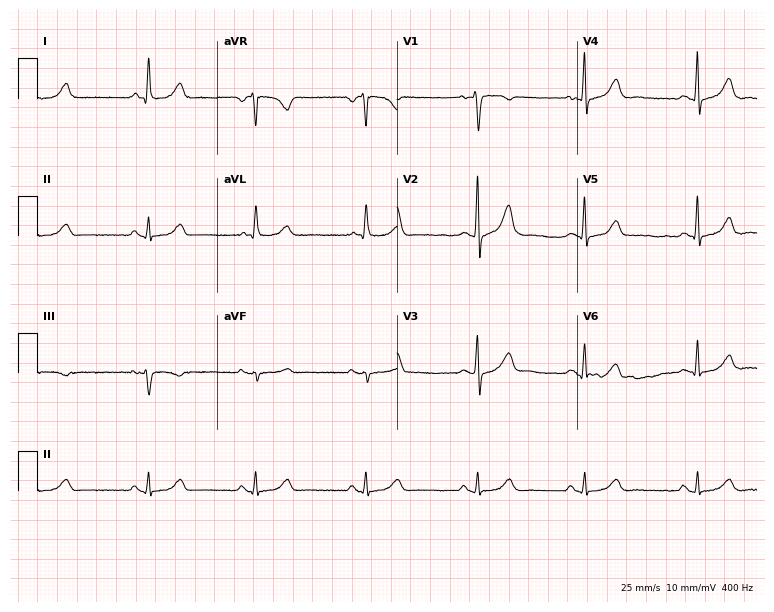
12-lead ECG from a 57-year-old female patient. Recorded interpretation: within normal limits.